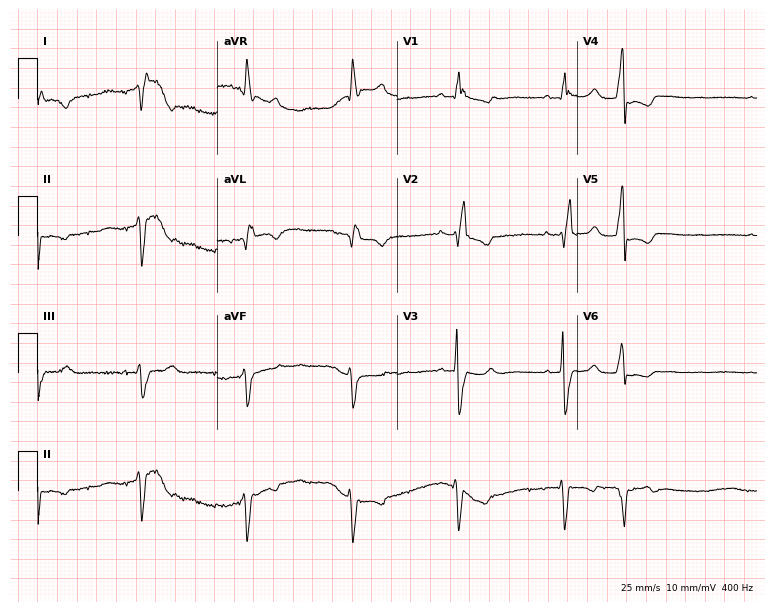
Resting 12-lead electrocardiogram (7.3-second recording at 400 Hz). Patient: a male, 83 years old. None of these six findings is recorded: first-degree AV block, right bundle branch block, left bundle branch block, sinus bradycardia, atrial fibrillation, sinus tachycardia.